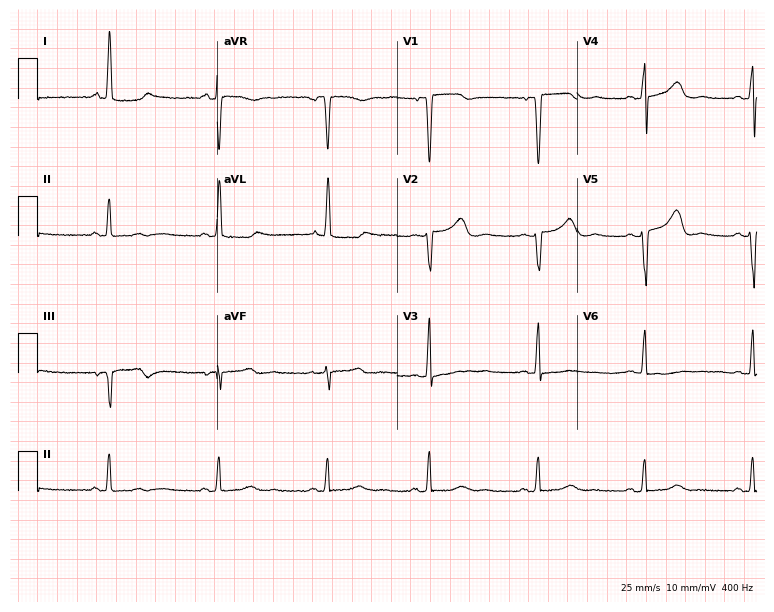
ECG (7.3-second recording at 400 Hz) — a female patient, 62 years old. Screened for six findings — first-degree AV block, right bundle branch block (RBBB), left bundle branch block (LBBB), sinus bradycardia, atrial fibrillation (AF), sinus tachycardia — none is recorded.